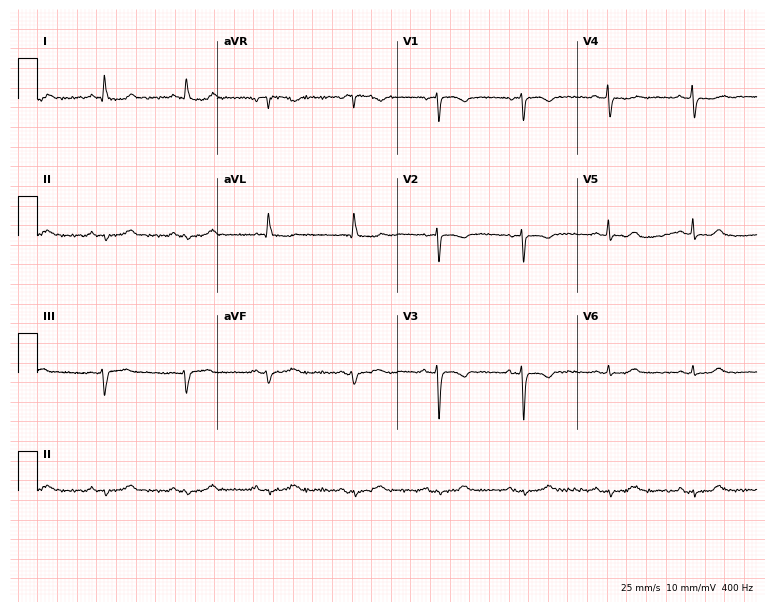
ECG (7.3-second recording at 400 Hz) — a 65-year-old woman. Screened for six findings — first-degree AV block, right bundle branch block, left bundle branch block, sinus bradycardia, atrial fibrillation, sinus tachycardia — none is recorded.